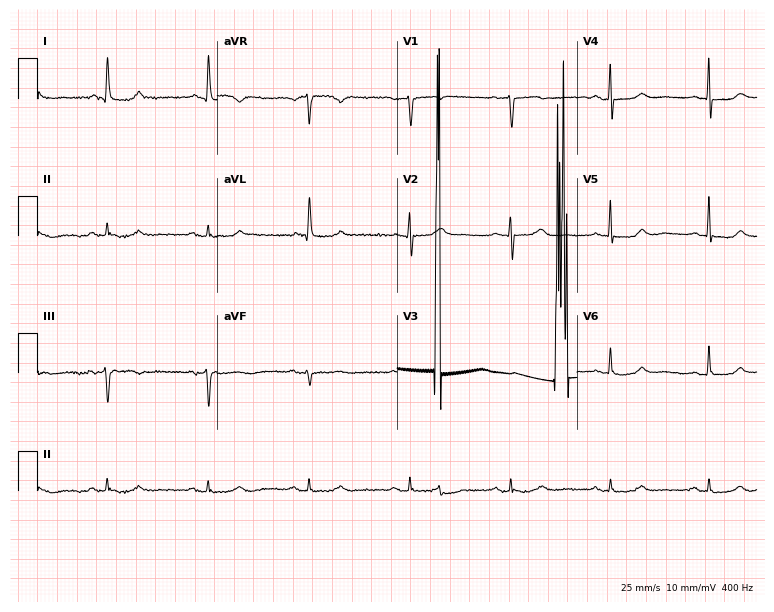
Electrocardiogram (7.3-second recording at 400 Hz), a woman, 78 years old. Of the six screened findings (first-degree AV block, right bundle branch block, left bundle branch block, sinus bradycardia, atrial fibrillation, sinus tachycardia), none is recorded. Other findings, if any, are not listed.